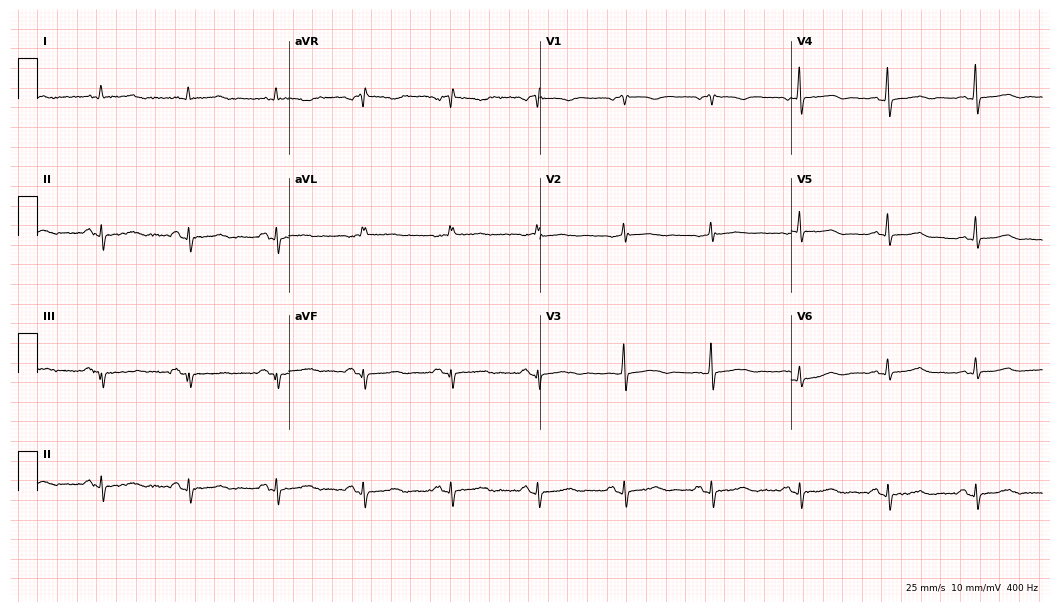
Resting 12-lead electrocardiogram. Patient: a woman, 72 years old. None of these six findings is recorded: first-degree AV block, right bundle branch block (RBBB), left bundle branch block (LBBB), sinus bradycardia, atrial fibrillation (AF), sinus tachycardia.